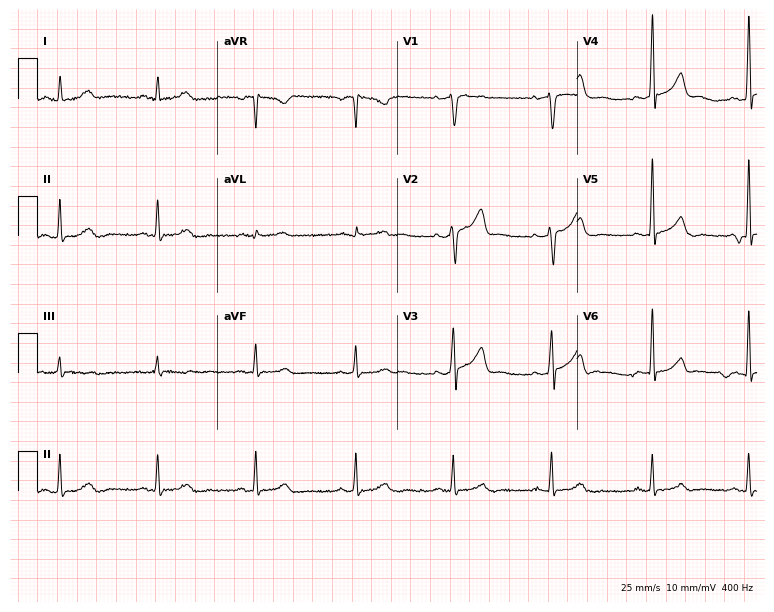
Electrocardiogram (7.3-second recording at 400 Hz), a male patient, 62 years old. Overall reading on record: normal ECG.